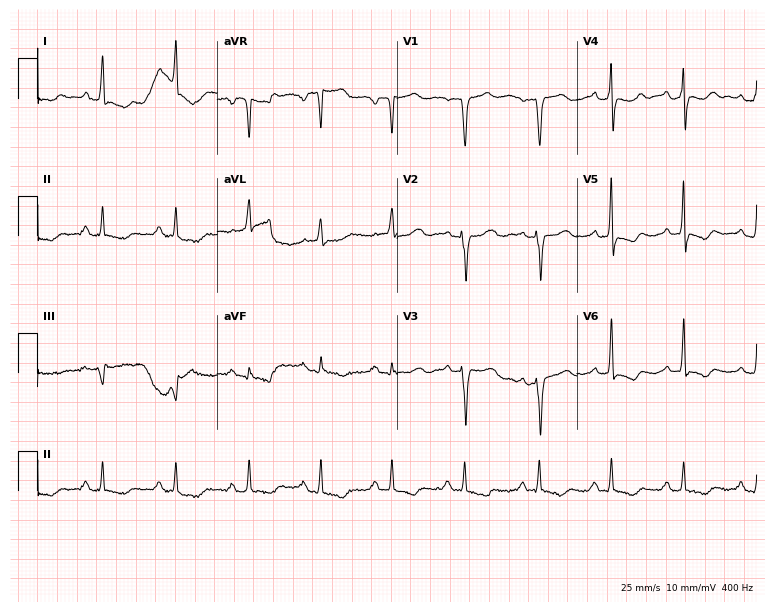
Resting 12-lead electrocardiogram. Patient: a 66-year-old female. None of these six findings is recorded: first-degree AV block, right bundle branch block (RBBB), left bundle branch block (LBBB), sinus bradycardia, atrial fibrillation (AF), sinus tachycardia. Only these six findings were labelled.